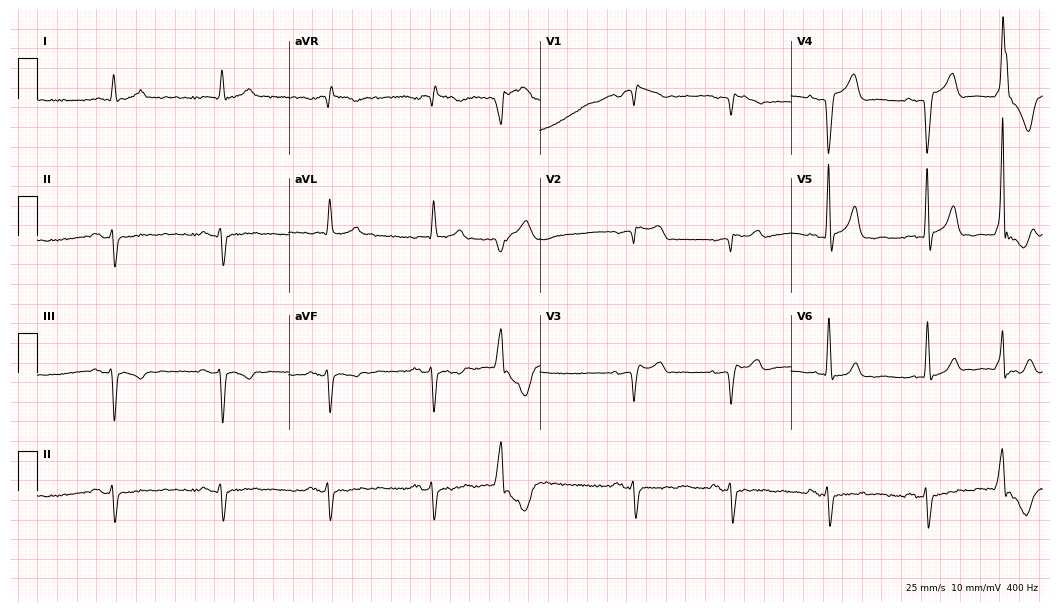
12-lead ECG from a male patient, 77 years old (10.2-second recording at 400 Hz). No first-degree AV block, right bundle branch block (RBBB), left bundle branch block (LBBB), sinus bradycardia, atrial fibrillation (AF) or sinus tachycardia recorded for this tracing.